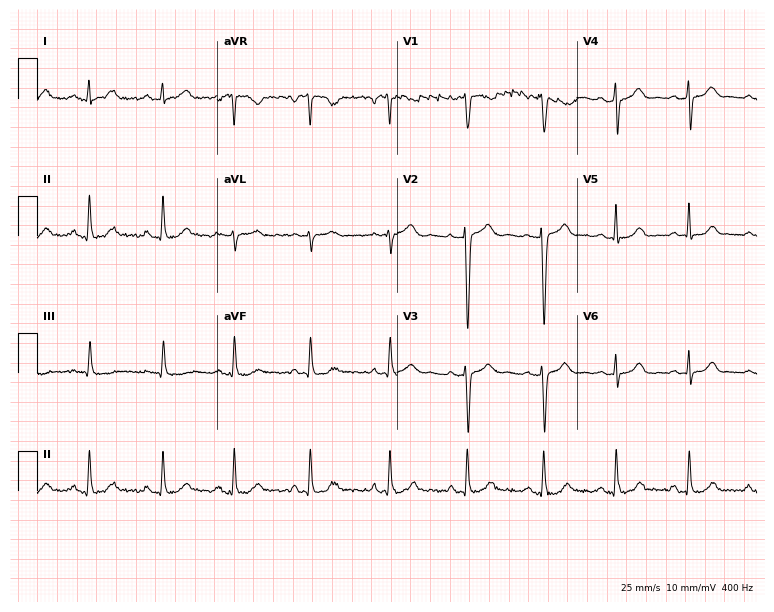
Standard 12-lead ECG recorded from a female, 22 years old (7.3-second recording at 400 Hz). None of these six findings is recorded: first-degree AV block, right bundle branch block, left bundle branch block, sinus bradycardia, atrial fibrillation, sinus tachycardia. Findings outside these six are not listed.